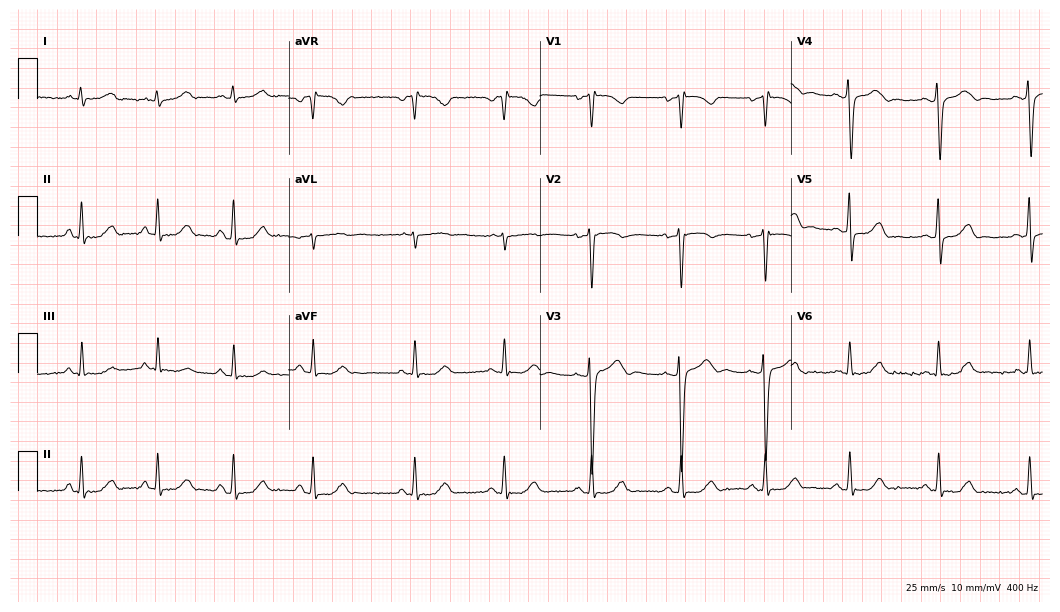
ECG (10.2-second recording at 400 Hz) — a female, 21 years old. Screened for six findings — first-degree AV block, right bundle branch block, left bundle branch block, sinus bradycardia, atrial fibrillation, sinus tachycardia — none is recorded. Findings outside these six are not listed.